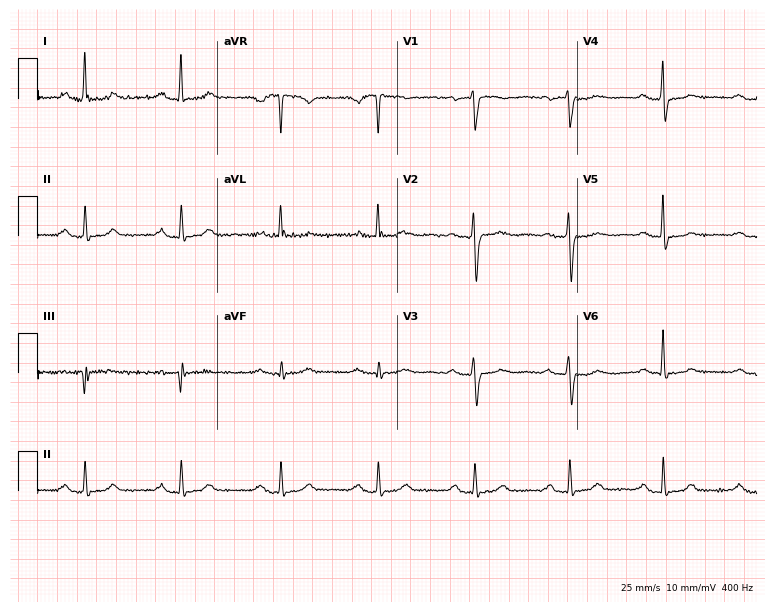
12-lead ECG from a 56-year-old female. Findings include first-degree AV block.